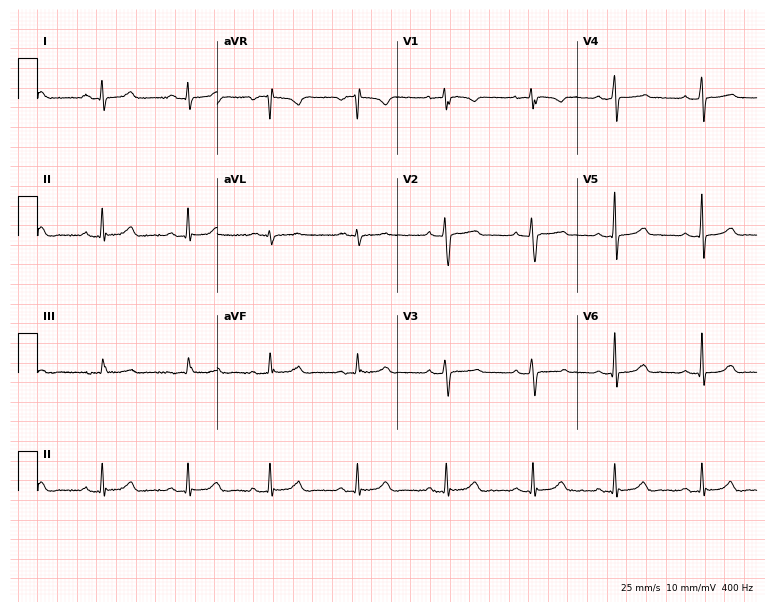
12-lead ECG from a female, 19 years old. Recorded interpretation: within normal limits.